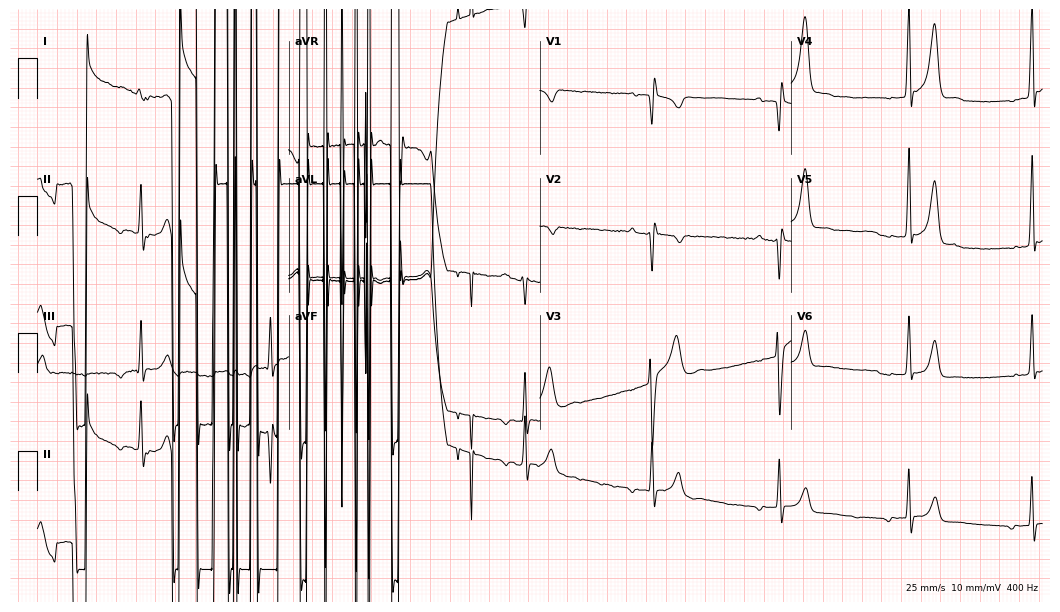
Standard 12-lead ECG recorded from a 30-year-old man (10.2-second recording at 400 Hz). None of these six findings is recorded: first-degree AV block, right bundle branch block, left bundle branch block, sinus bradycardia, atrial fibrillation, sinus tachycardia. Findings outside these six are not listed.